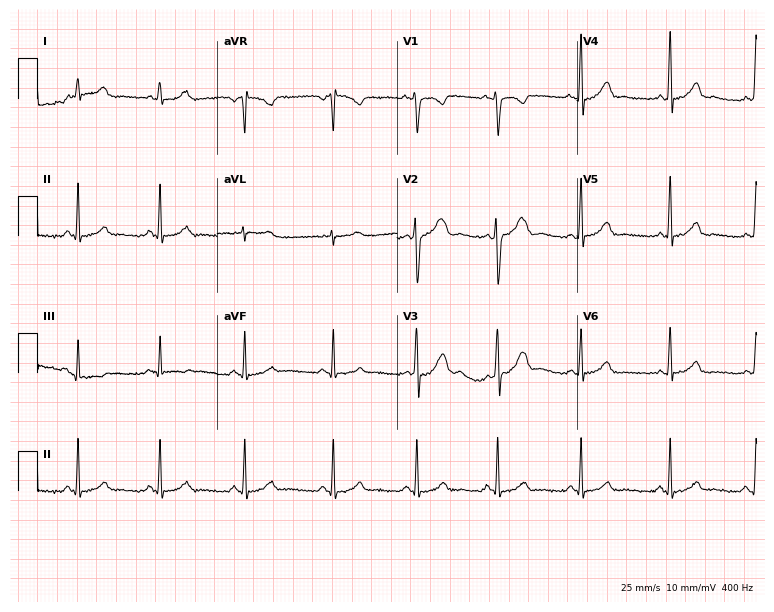
12-lead ECG from a 26-year-old female. Recorded interpretation: within normal limits.